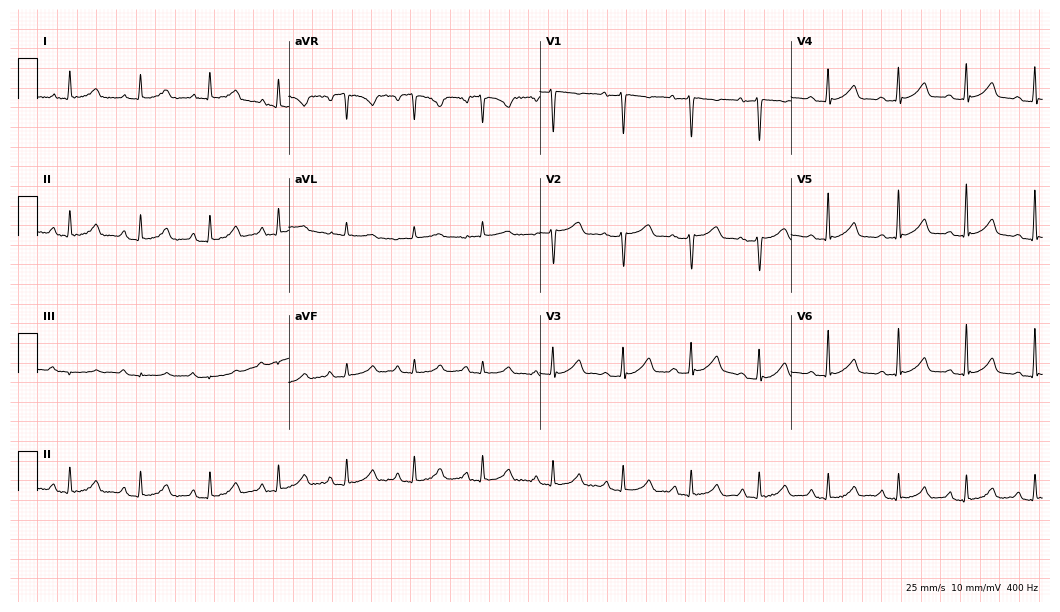
Resting 12-lead electrocardiogram (10.2-second recording at 400 Hz). Patient: a female, 66 years old. Read as a normal ECG.